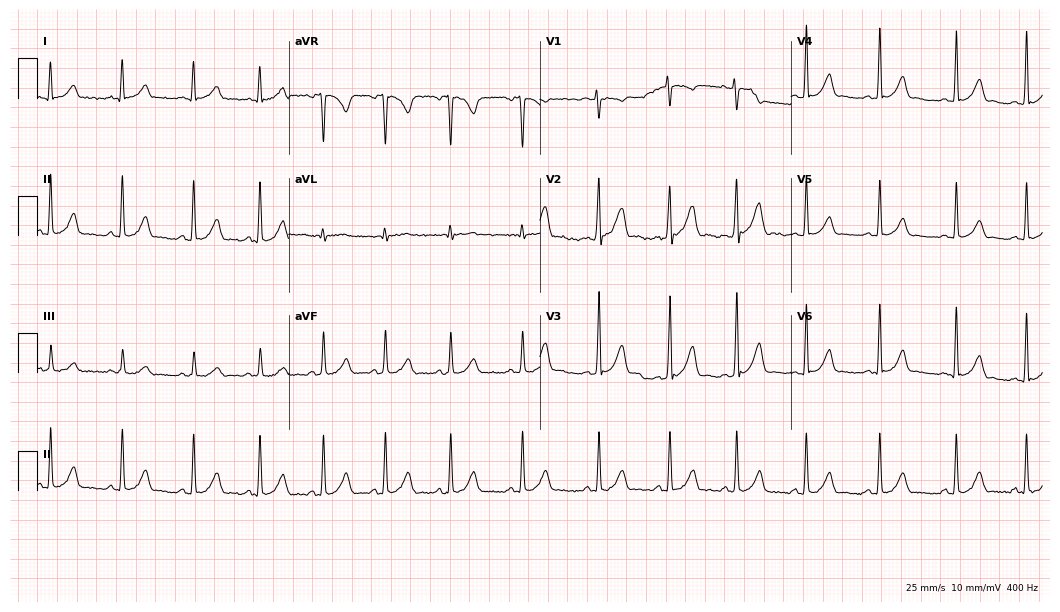
ECG — a 20-year-old female. Labelled as a normal ECG.